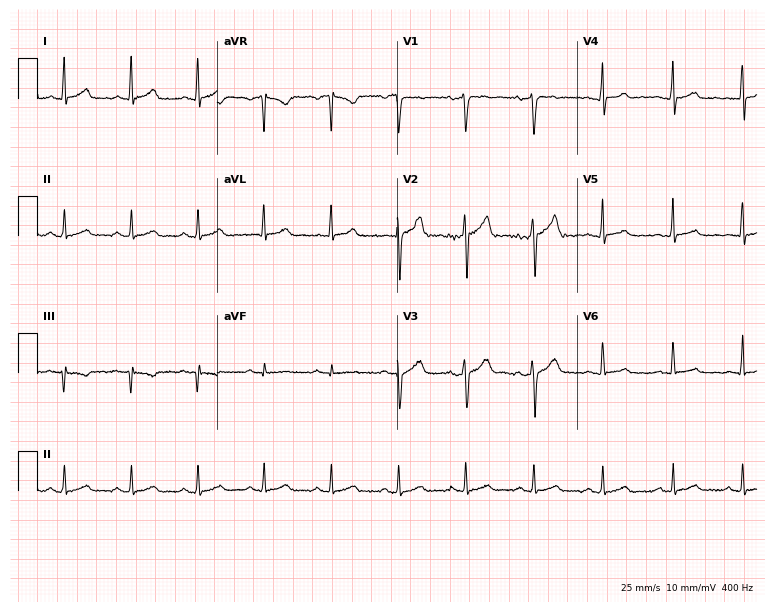
Electrocardiogram (7.3-second recording at 400 Hz), a man, 29 years old. Of the six screened findings (first-degree AV block, right bundle branch block, left bundle branch block, sinus bradycardia, atrial fibrillation, sinus tachycardia), none is recorded. Findings outside these six are not listed.